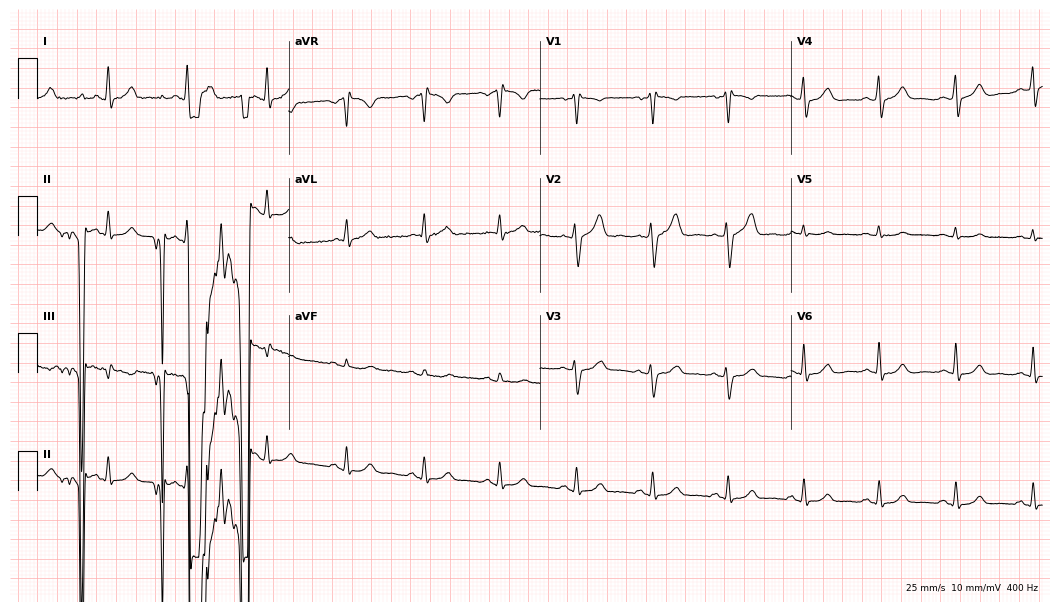
12-lead ECG from a 40-year-old male (10.2-second recording at 400 Hz). No first-degree AV block, right bundle branch block, left bundle branch block, sinus bradycardia, atrial fibrillation or sinus tachycardia recorded for this tracing.